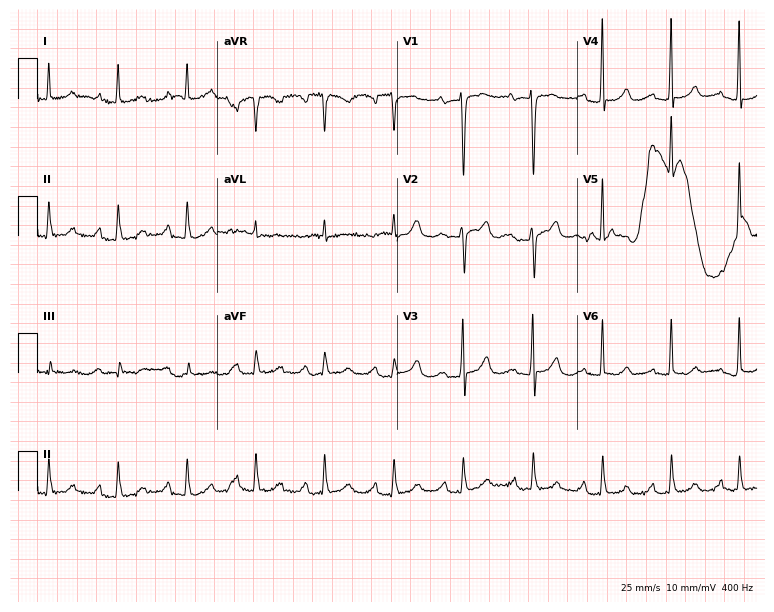
ECG (7.3-second recording at 400 Hz) — a 71-year-old female patient. Findings include first-degree AV block.